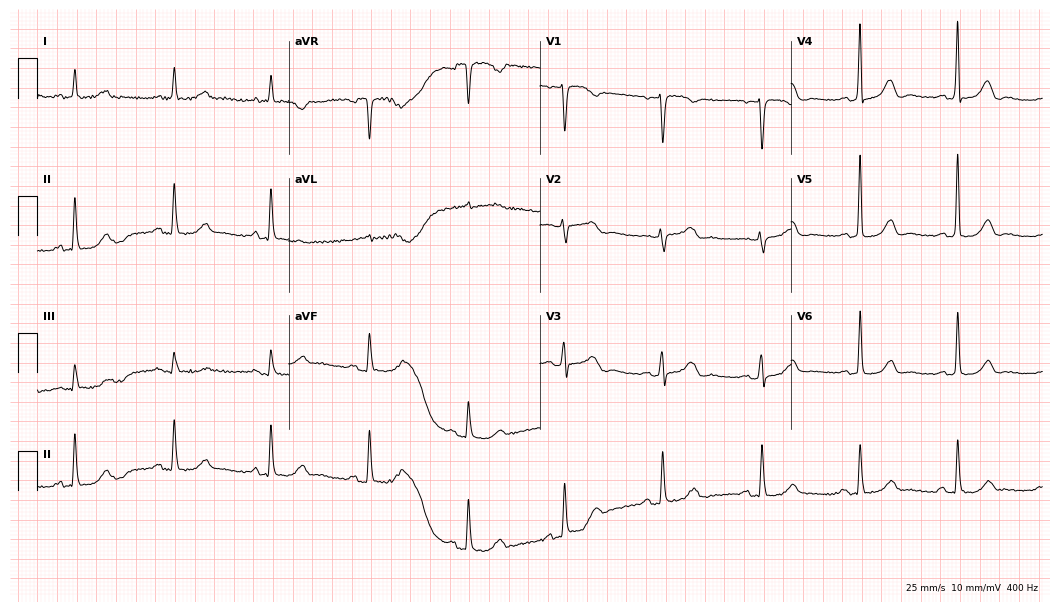
Standard 12-lead ECG recorded from a 72-year-old woman. Read as a normal ECG.